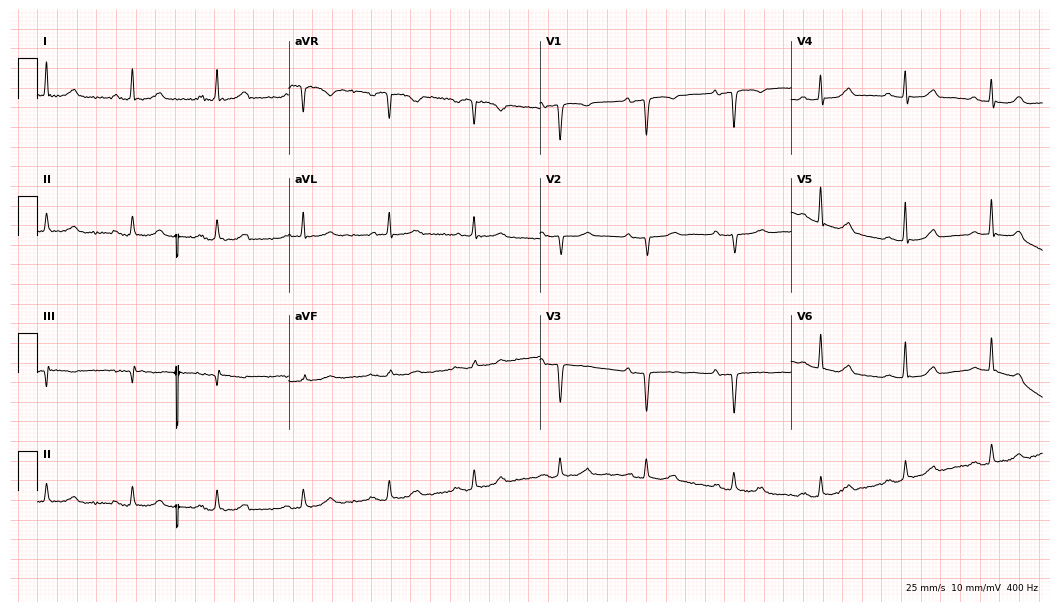
12-lead ECG from a female patient, 58 years old. Screened for six findings — first-degree AV block, right bundle branch block, left bundle branch block, sinus bradycardia, atrial fibrillation, sinus tachycardia — none is recorded. Findings outside these six are not listed.